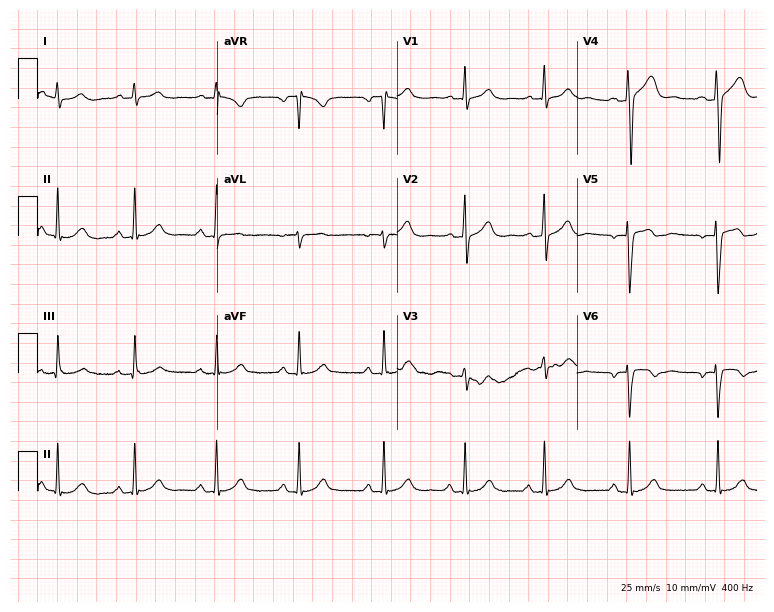
Resting 12-lead electrocardiogram (7.3-second recording at 400 Hz). Patient: a male, 33 years old. None of these six findings is recorded: first-degree AV block, right bundle branch block, left bundle branch block, sinus bradycardia, atrial fibrillation, sinus tachycardia.